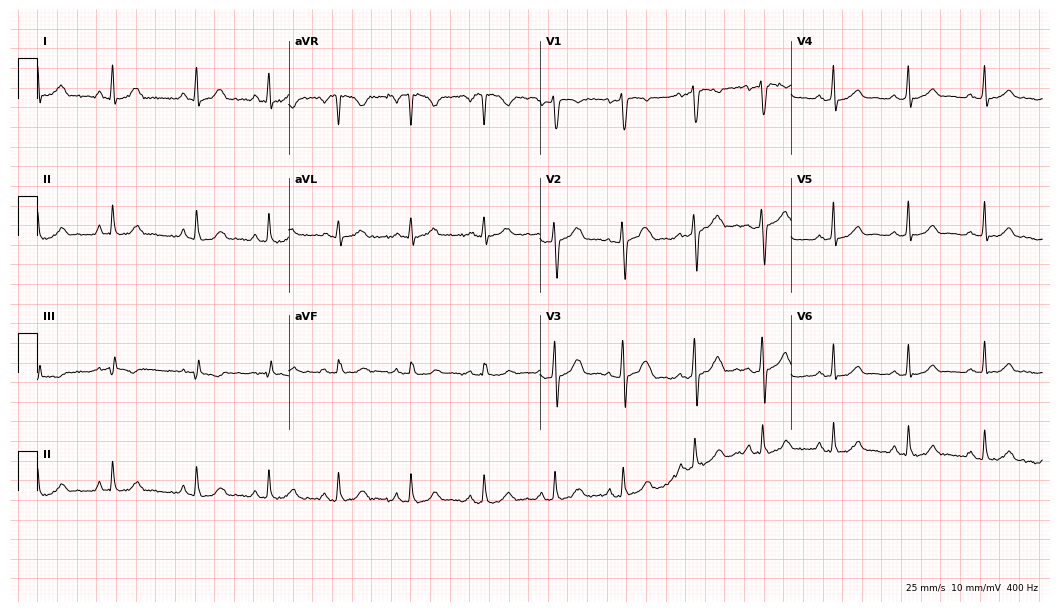
12-lead ECG from a 32-year-old female patient (10.2-second recording at 400 Hz). Recorded interpretation: within normal limits.